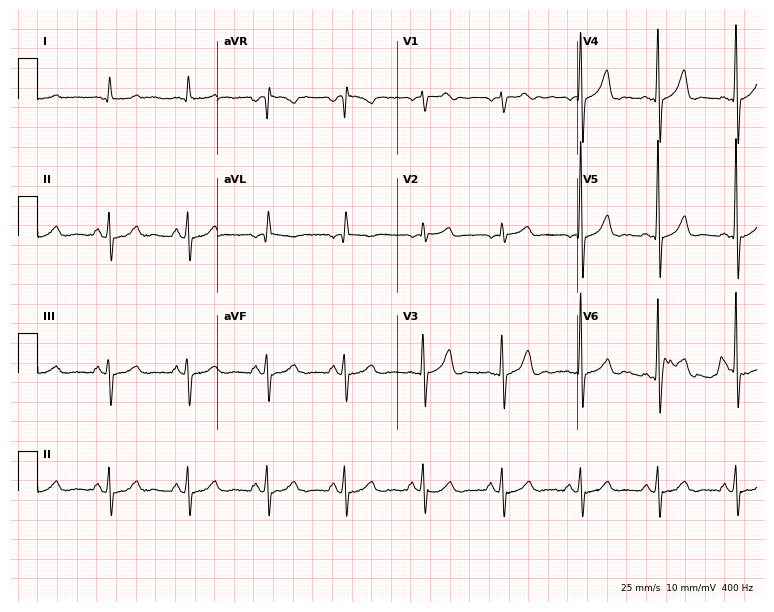
Resting 12-lead electrocardiogram (7.3-second recording at 400 Hz). Patient: a male, 72 years old. Read as a normal ECG.